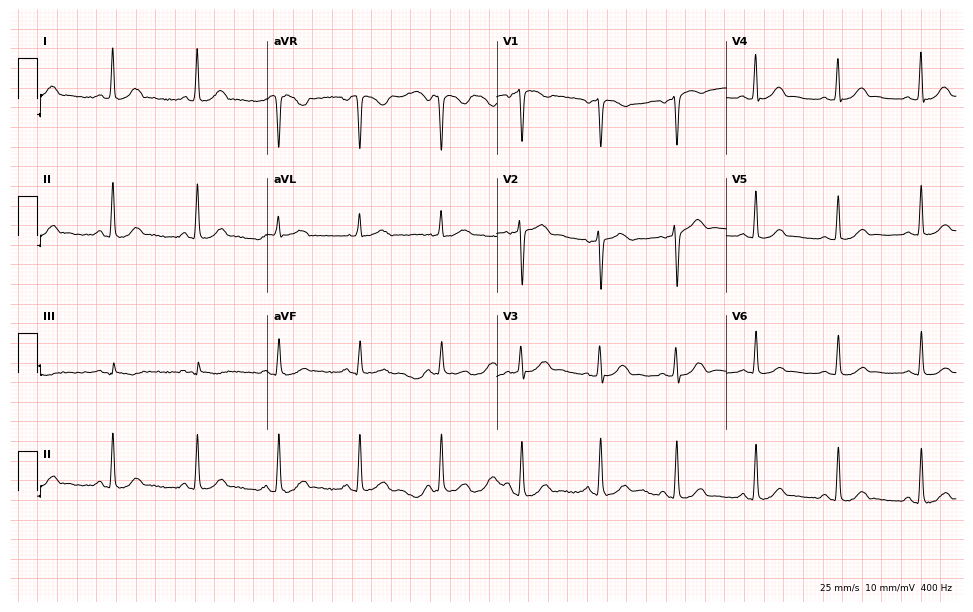
Standard 12-lead ECG recorded from a female patient, 41 years old (9.4-second recording at 400 Hz). Read as a normal ECG.